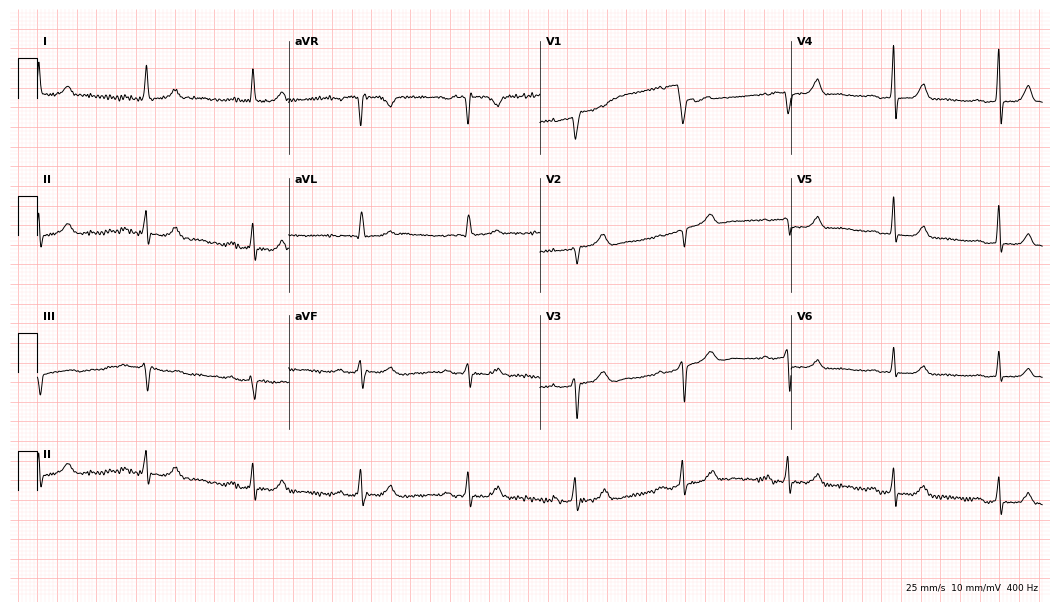
12-lead ECG from a female, 72 years old. Findings include first-degree AV block.